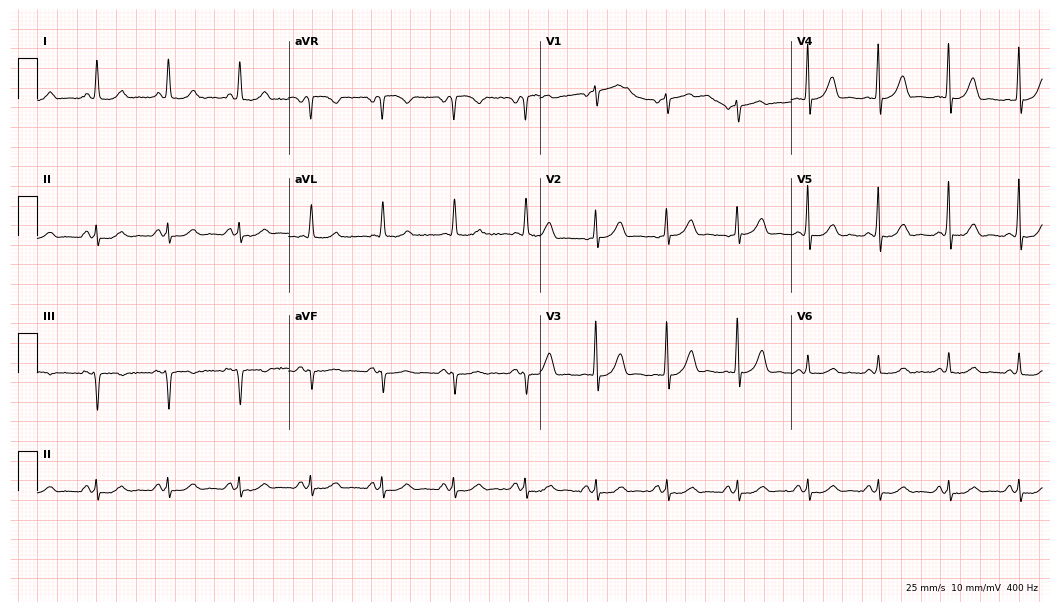
12-lead ECG from a female patient, 63 years old. Recorded interpretation: within normal limits.